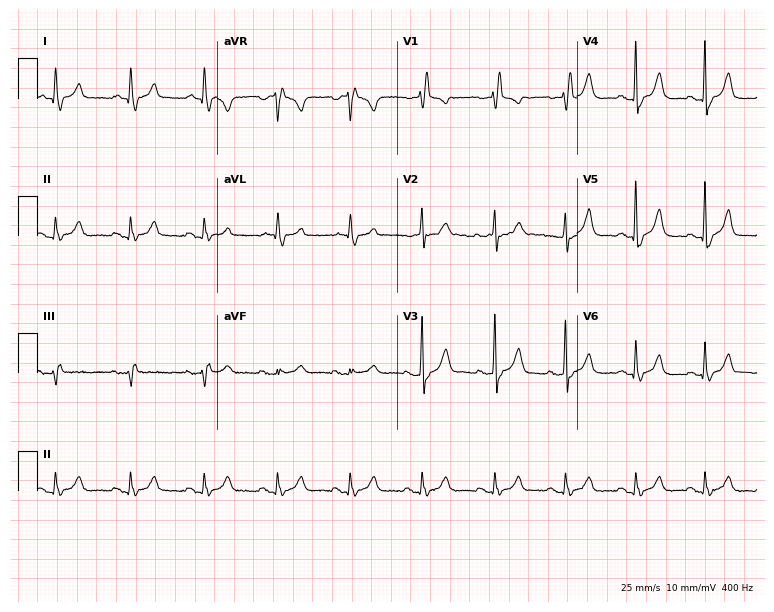
Resting 12-lead electrocardiogram. Patient: an 81-year-old male. None of these six findings is recorded: first-degree AV block, right bundle branch block, left bundle branch block, sinus bradycardia, atrial fibrillation, sinus tachycardia.